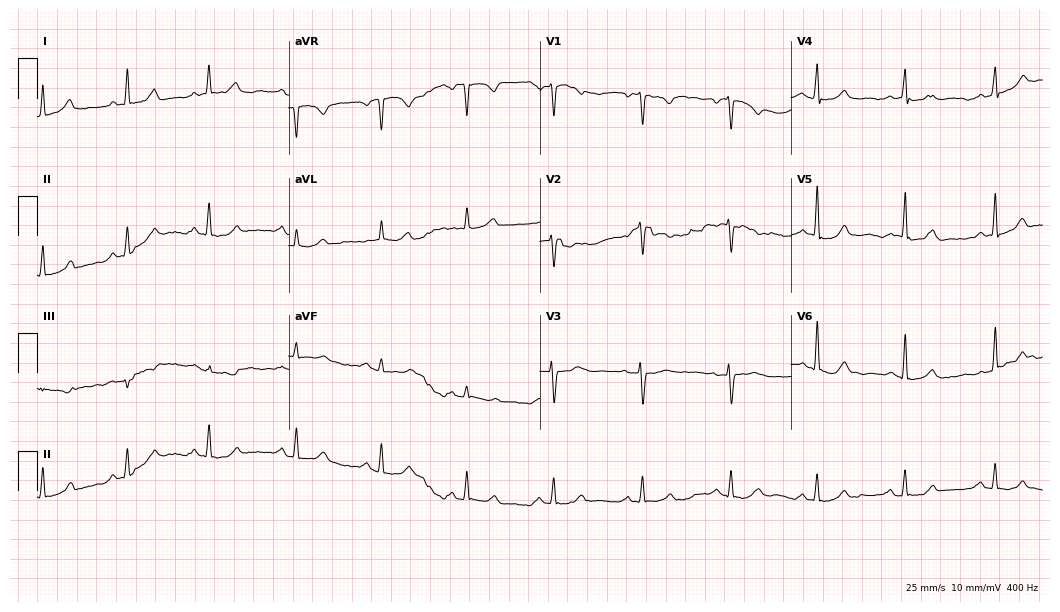
12-lead ECG from a 64-year-old female patient (10.2-second recording at 400 Hz). Recorded interpretation: within normal limits.